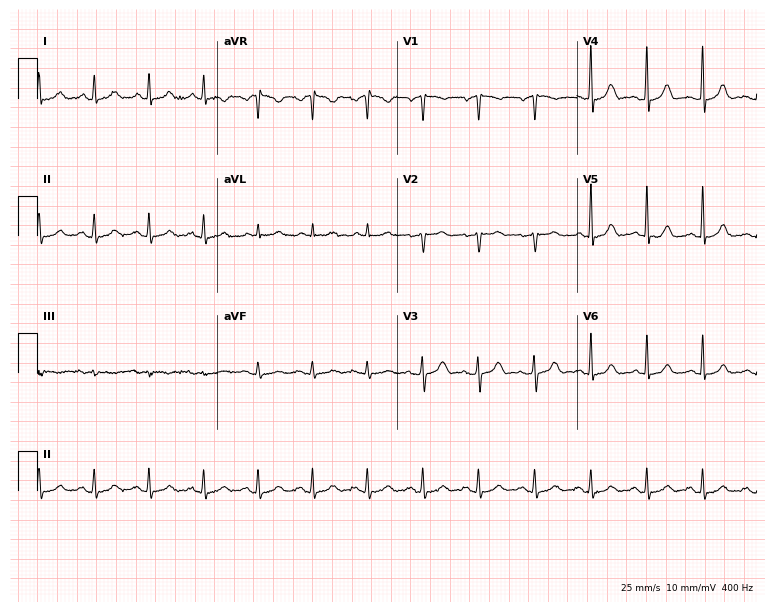
Resting 12-lead electrocardiogram. Patient: a man, 58 years old. None of these six findings is recorded: first-degree AV block, right bundle branch block, left bundle branch block, sinus bradycardia, atrial fibrillation, sinus tachycardia.